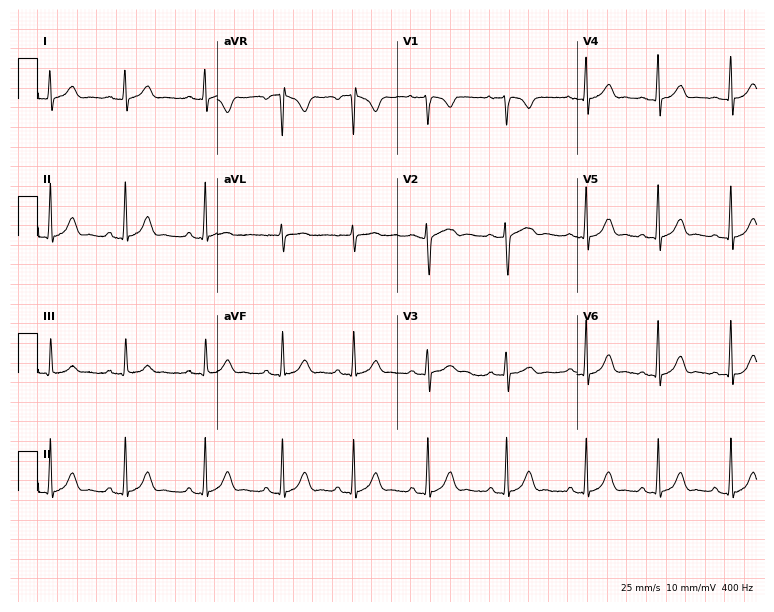
Resting 12-lead electrocardiogram (7.3-second recording at 400 Hz). Patient: a 17-year-old female. Read as a normal ECG.